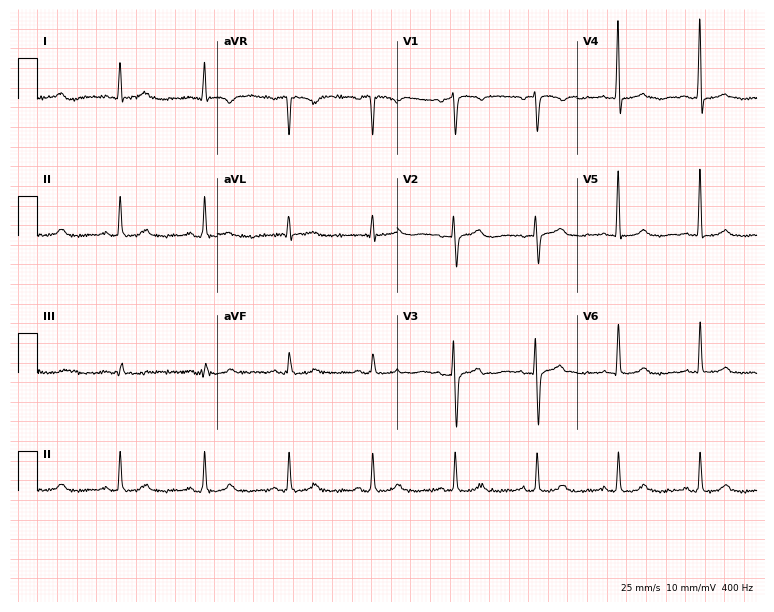
Standard 12-lead ECG recorded from a woman, 55 years old. None of these six findings is recorded: first-degree AV block, right bundle branch block (RBBB), left bundle branch block (LBBB), sinus bradycardia, atrial fibrillation (AF), sinus tachycardia.